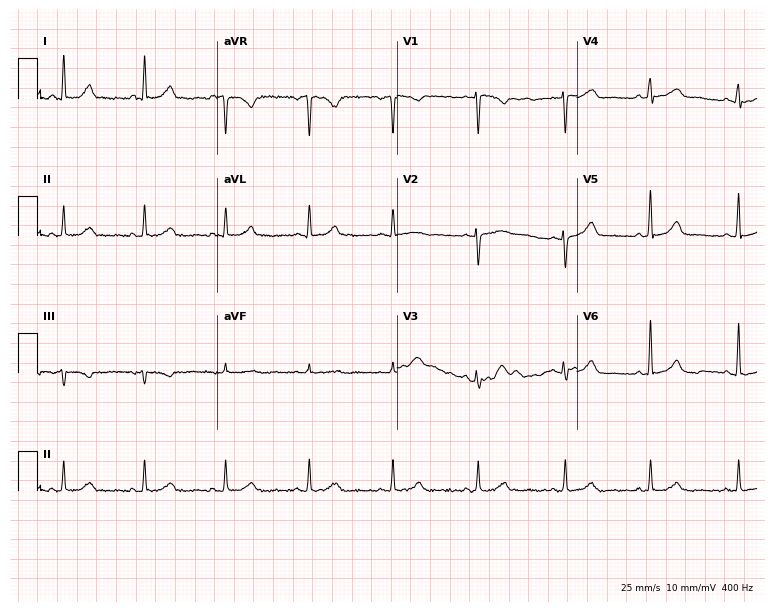
ECG (7.3-second recording at 400 Hz) — a woman, 46 years old. Screened for six findings — first-degree AV block, right bundle branch block, left bundle branch block, sinus bradycardia, atrial fibrillation, sinus tachycardia — none is recorded.